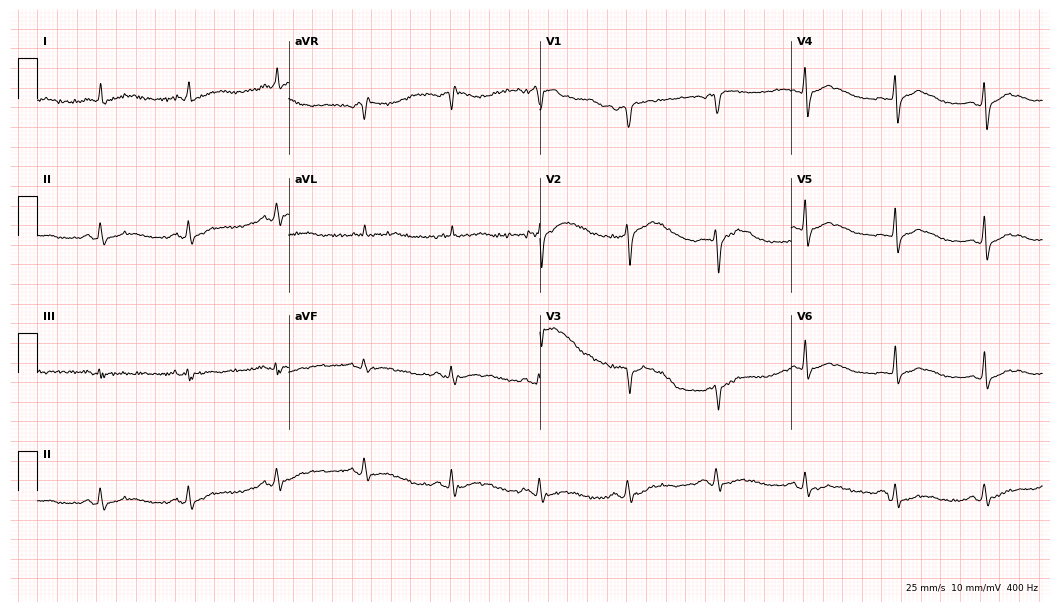
12-lead ECG from a 65-year-old male patient (10.2-second recording at 400 Hz). Recorded interpretation: within normal limits.